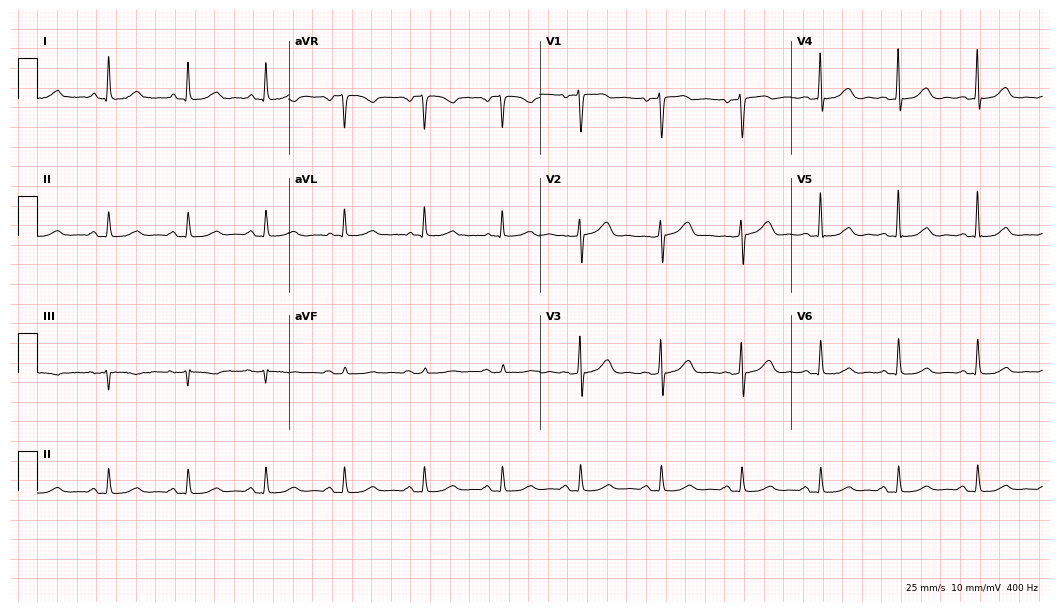
ECG (10.2-second recording at 400 Hz) — a female, 55 years old. Screened for six findings — first-degree AV block, right bundle branch block, left bundle branch block, sinus bradycardia, atrial fibrillation, sinus tachycardia — none is recorded.